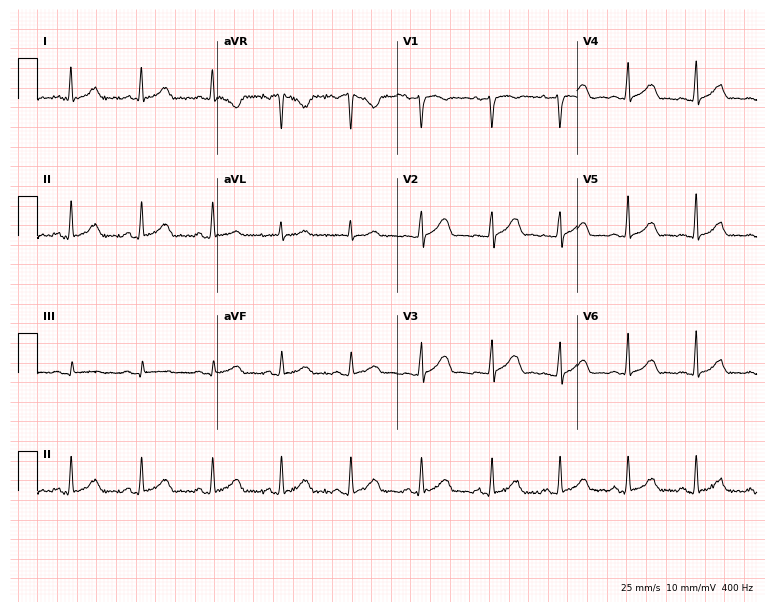
12-lead ECG (7.3-second recording at 400 Hz) from a 32-year-old female. Screened for six findings — first-degree AV block, right bundle branch block (RBBB), left bundle branch block (LBBB), sinus bradycardia, atrial fibrillation (AF), sinus tachycardia — none is recorded. Findings outside these six are not listed.